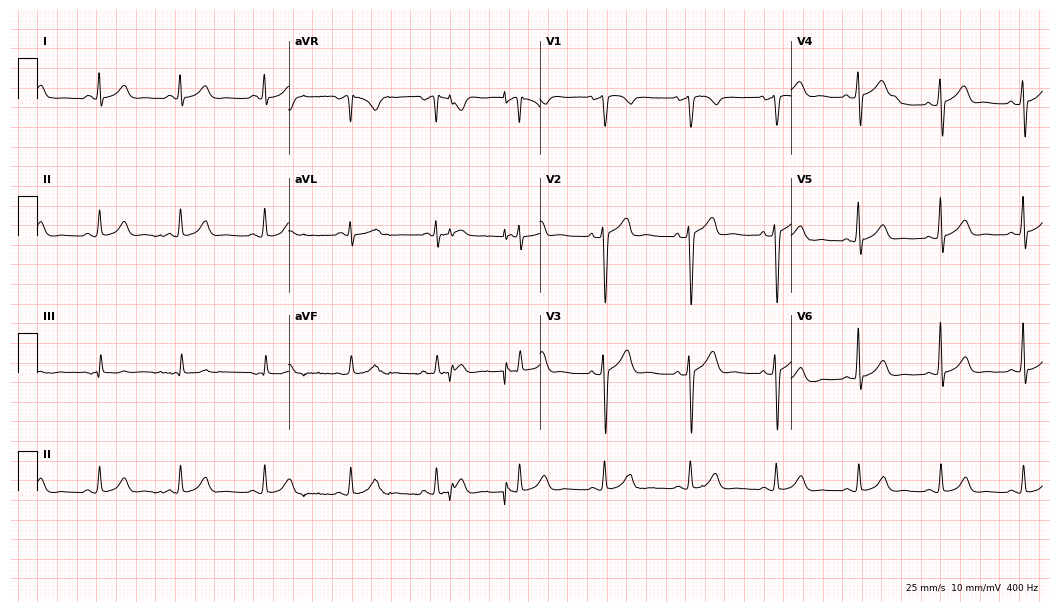
12-lead ECG from a man, 18 years old. Recorded interpretation: within normal limits.